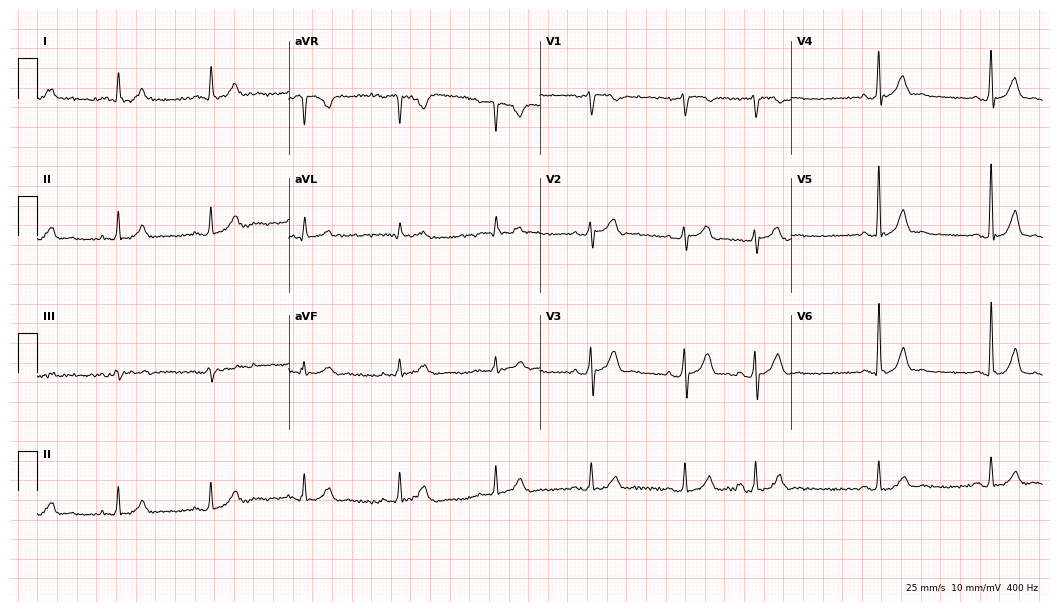
12-lead ECG from a 78-year-old male. No first-degree AV block, right bundle branch block, left bundle branch block, sinus bradycardia, atrial fibrillation or sinus tachycardia recorded for this tracing. Other findings, if any, are not listed.